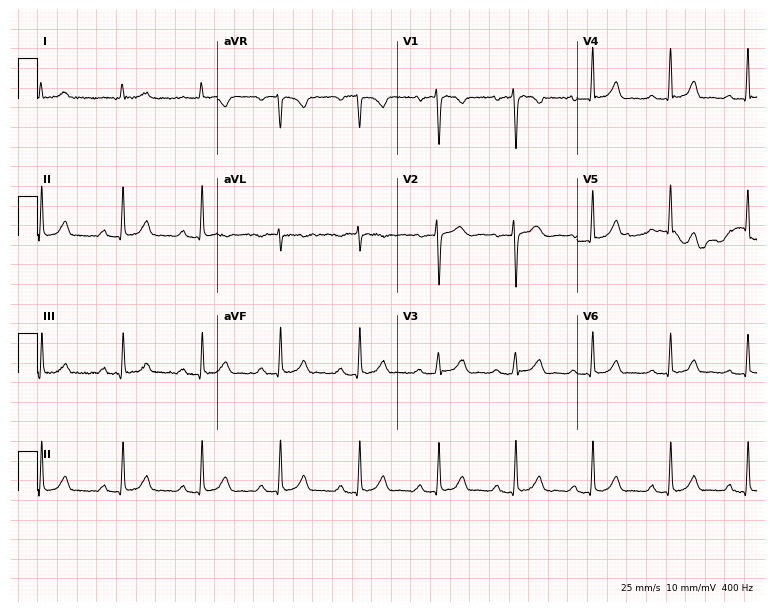
Electrocardiogram (7.3-second recording at 400 Hz), a female patient, 32 years old. Of the six screened findings (first-degree AV block, right bundle branch block, left bundle branch block, sinus bradycardia, atrial fibrillation, sinus tachycardia), none is recorded.